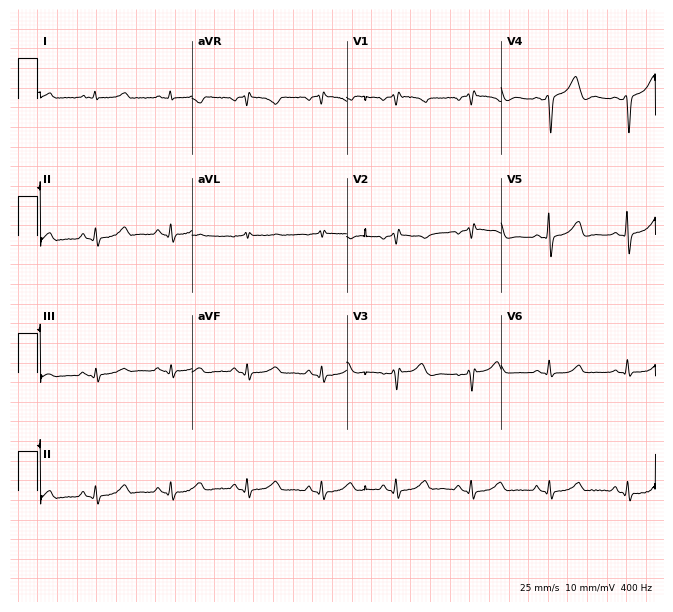
Resting 12-lead electrocardiogram (6.3-second recording at 400 Hz). Patient: a female, 48 years old. None of these six findings is recorded: first-degree AV block, right bundle branch block, left bundle branch block, sinus bradycardia, atrial fibrillation, sinus tachycardia. Findings outside these six are not listed.